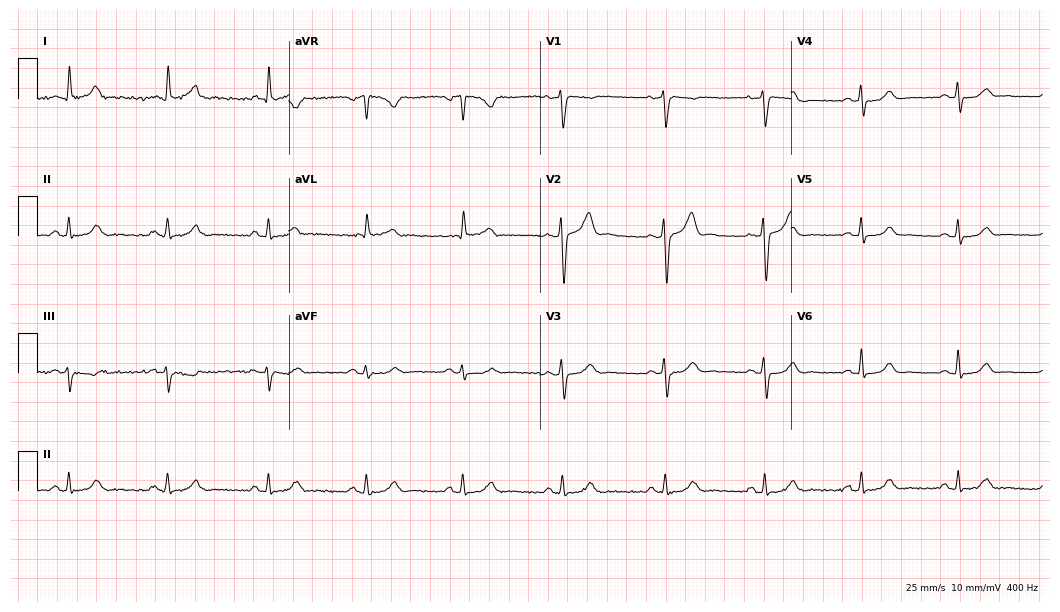
12-lead ECG from a 51-year-old male. Labelled as a normal ECG.